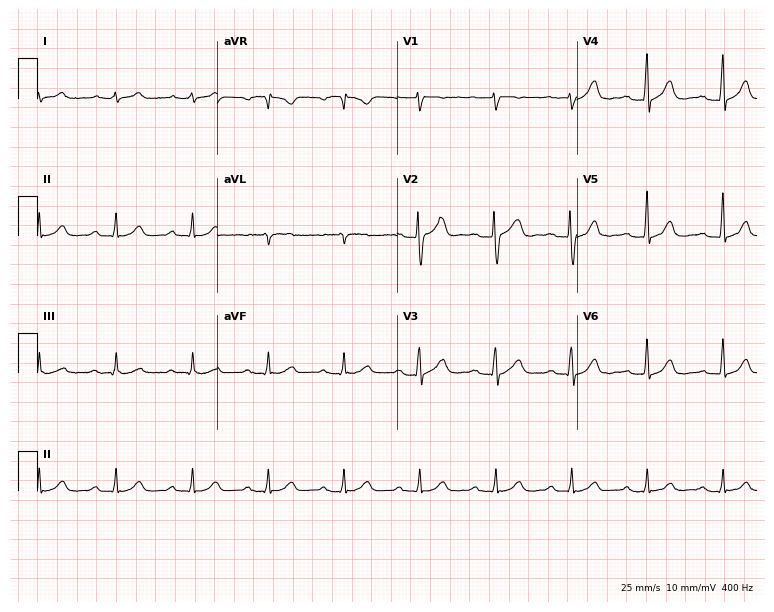
ECG (7.3-second recording at 400 Hz) — a 58-year-old male patient. Findings include first-degree AV block.